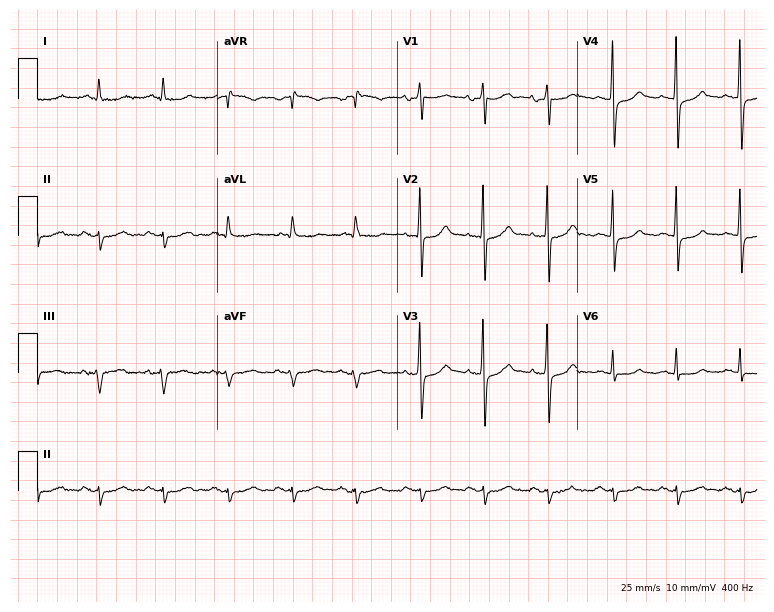
12-lead ECG from a male patient, 82 years old. Screened for six findings — first-degree AV block, right bundle branch block, left bundle branch block, sinus bradycardia, atrial fibrillation, sinus tachycardia — none is recorded.